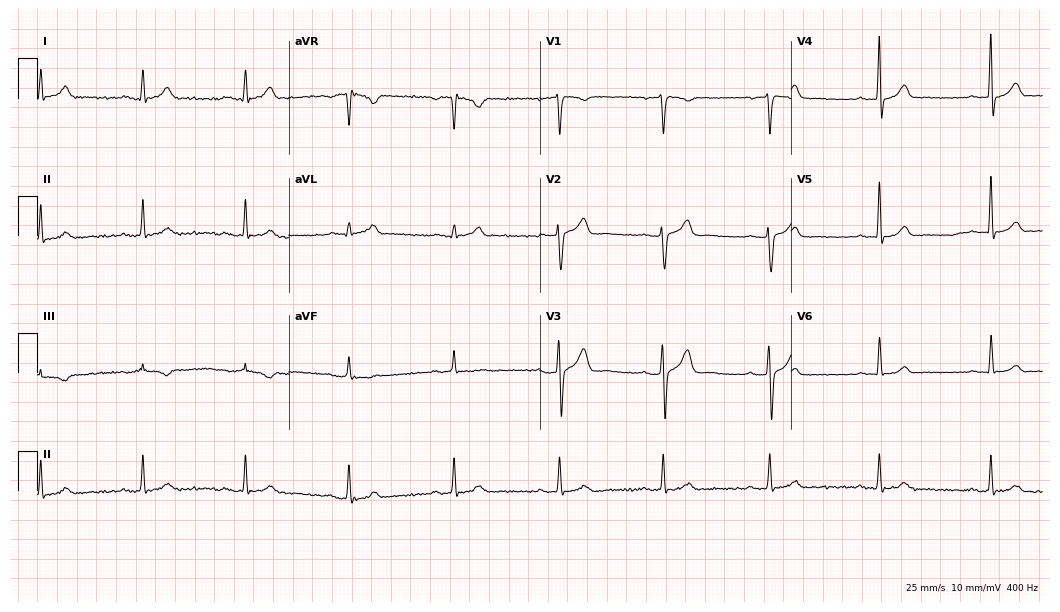
Electrocardiogram (10.2-second recording at 400 Hz), a man, 49 years old. Overall reading on record: normal ECG.